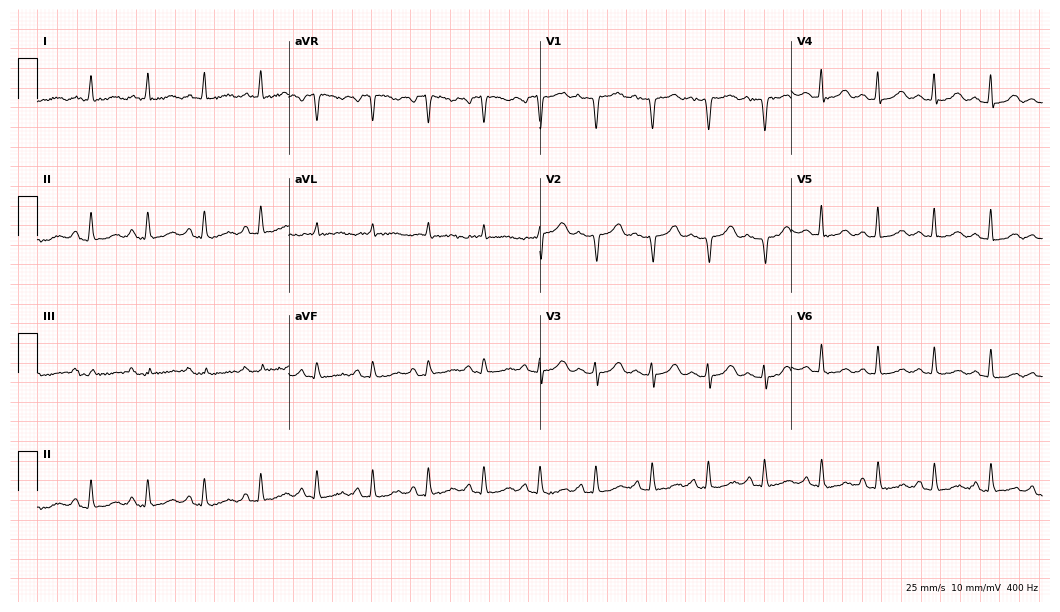
Resting 12-lead electrocardiogram (10.2-second recording at 400 Hz). Patient: a 58-year-old female. None of these six findings is recorded: first-degree AV block, right bundle branch block, left bundle branch block, sinus bradycardia, atrial fibrillation, sinus tachycardia. Other findings, if any, are not listed.